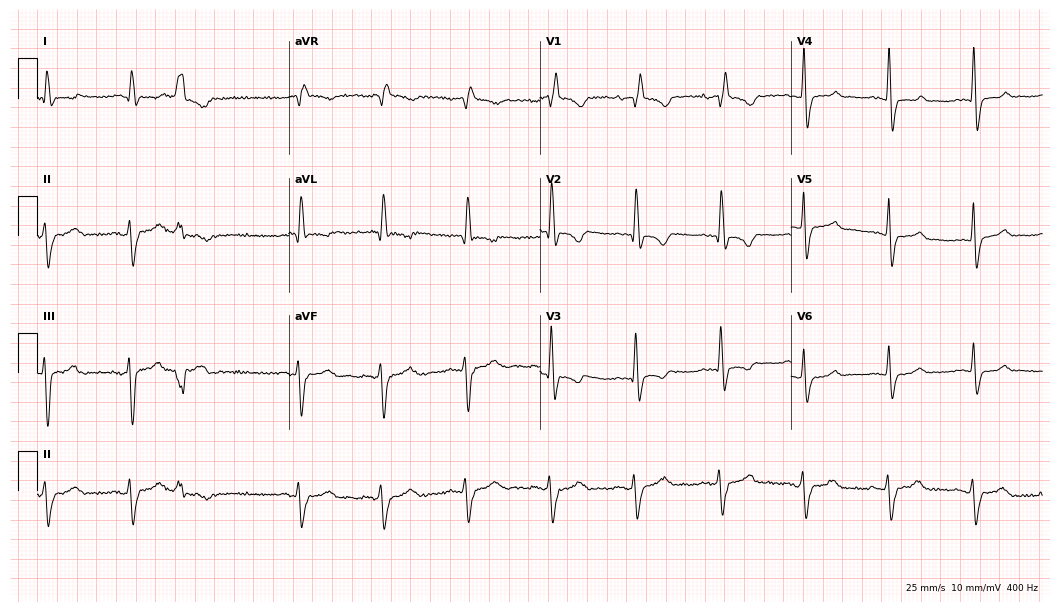
12-lead ECG from a woman, 86 years old. Shows right bundle branch block (RBBB).